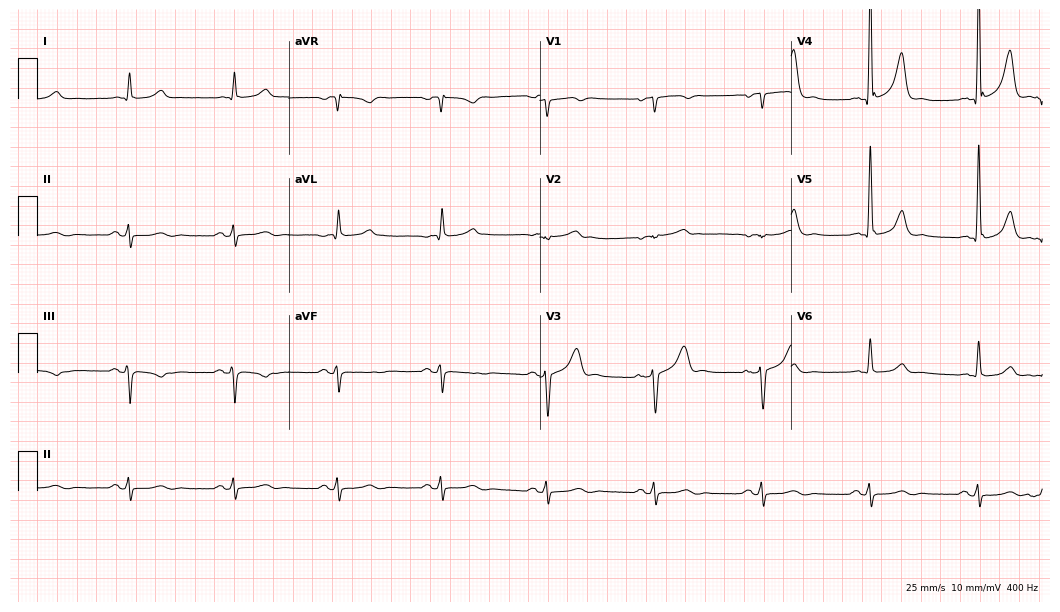
12-lead ECG from an 83-year-old male. Screened for six findings — first-degree AV block, right bundle branch block, left bundle branch block, sinus bradycardia, atrial fibrillation, sinus tachycardia — none is recorded. Other findings, if any, are not listed.